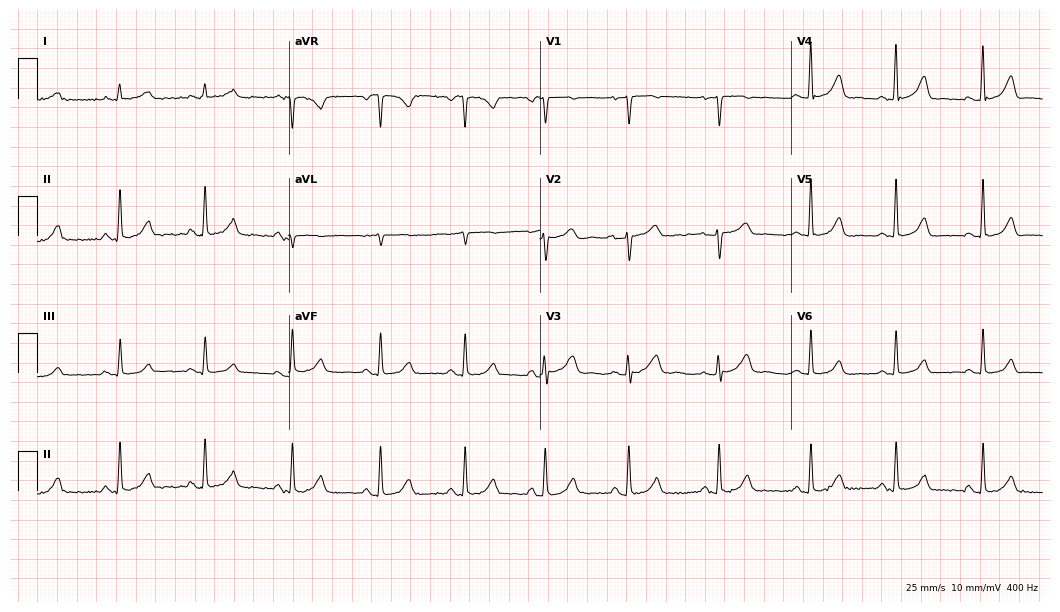
Standard 12-lead ECG recorded from a 57-year-old female patient. Read as a normal ECG.